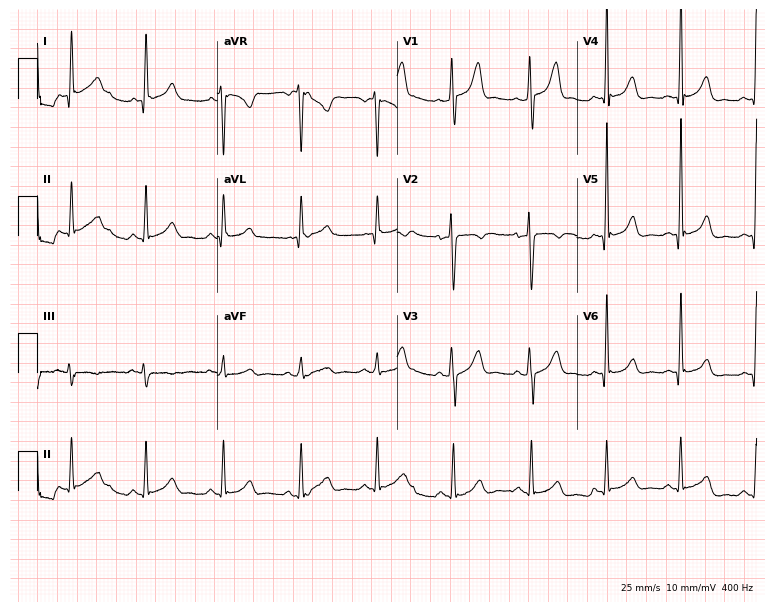
ECG (7.3-second recording at 400 Hz) — a man, 36 years old. Screened for six findings — first-degree AV block, right bundle branch block, left bundle branch block, sinus bradycardia, atrial fibrillation, sinus tachycardia — none is recorded. Other findings, if any, are not listed.